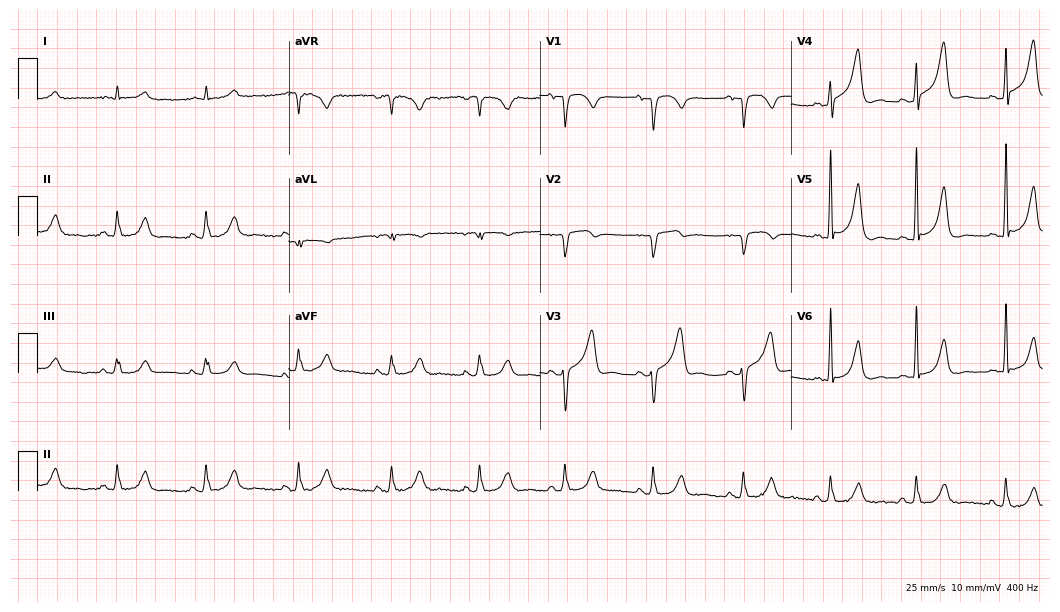
Electrocardiogram, an 80-year-old male patient. Of the six screened findings (first-degree AV block, right bundle branch block, left bundle branch block, sinus bradycardia, atrial fibrillation, sinus tachycardia), none is recorded.